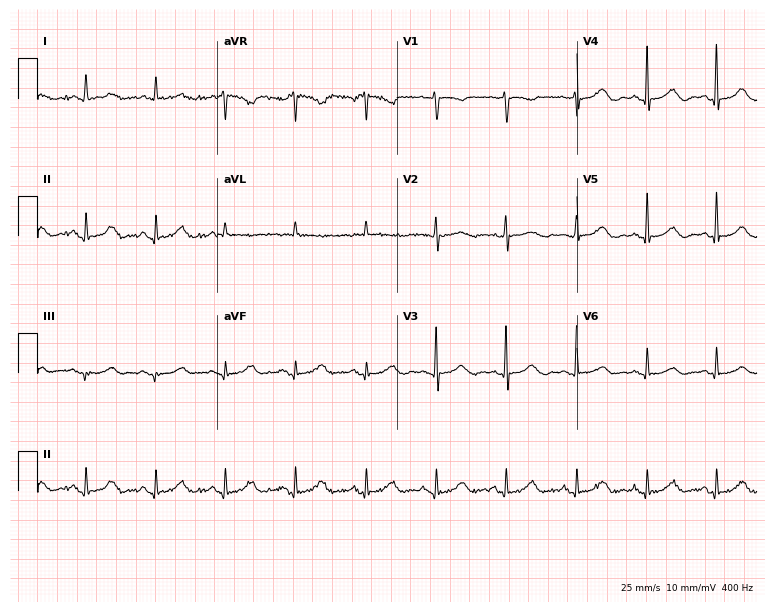
12-lead ECG (7.3-second recording at 400 Hz) from a 51-year-old woman. Screened for six findings — first-degree AV block, right bundle branch block, left bundle branch block, sinus bradycardia, atrial fibrillation, sinus tachycardia — none is recorded. Only these six findings were labelled.